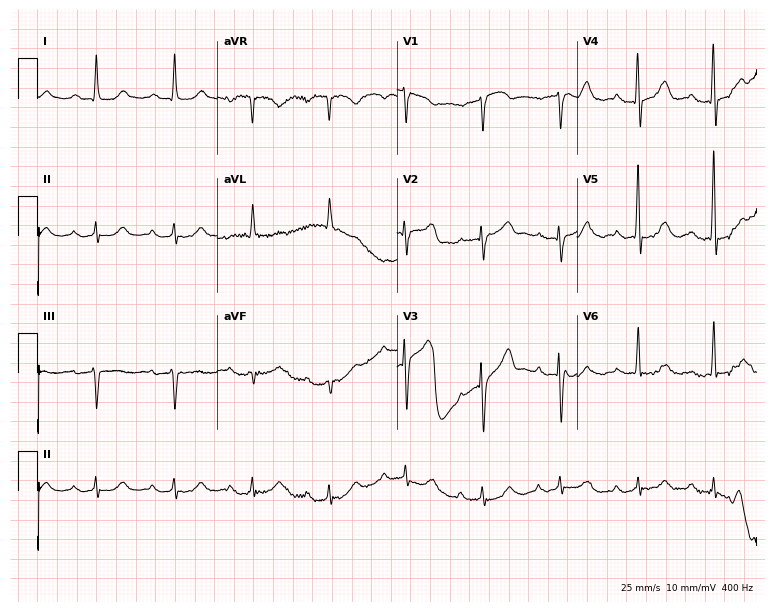
12-lead ECG from a male, 80 years old. Labelled as a normal ECG.